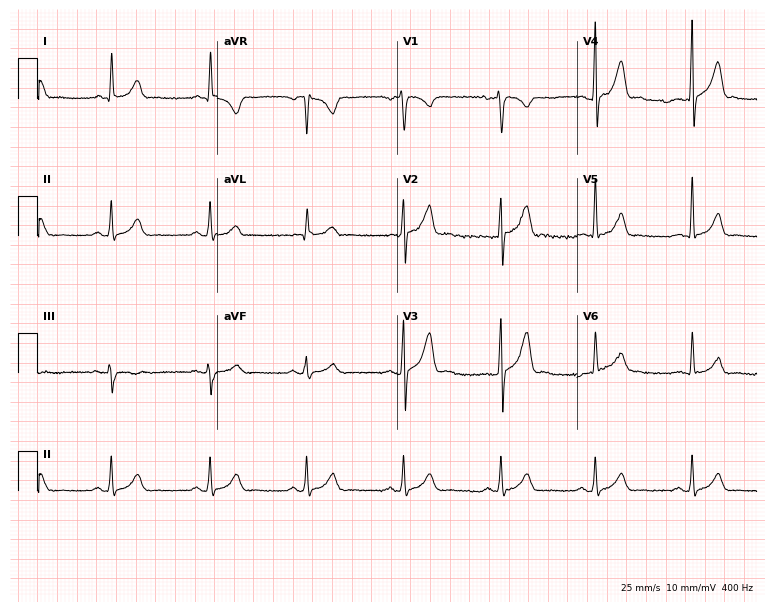
Electrocardiogram (7.3-second recording at 400 Hz), a 62-year-old male patient. Of the six screened findings (first-degree AV block, right bundle branch block, left bundle branch block, sinus bradycardia, atrial fibrillation, sinus tachycardia), none is recorded.